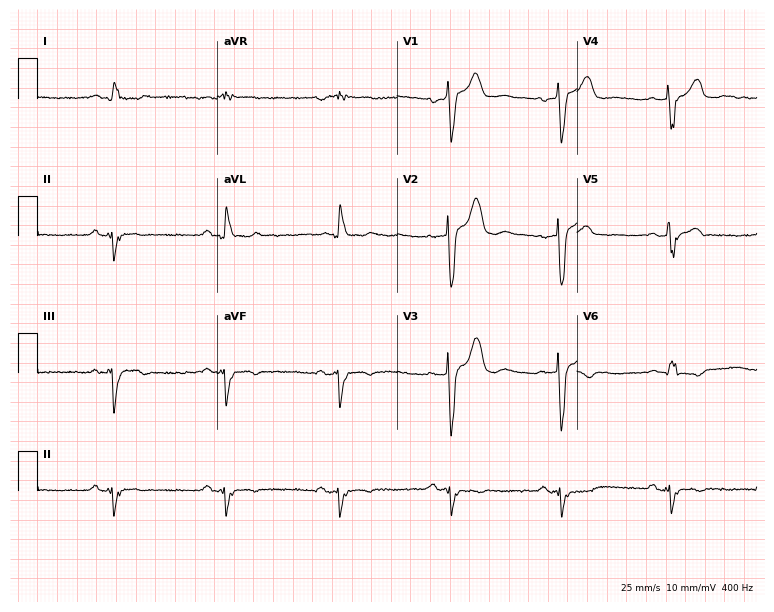
Standard 12-lead ECG recorded from a 66-year-old man. None of these six findings is recorded: first-degree AV block, right bundle branch block (RBBB), left bundle branch block (LBBB), sinus bradycardia, atrial fibrillation (AF), sinus tachycardia. Findings outside these six are not listed.